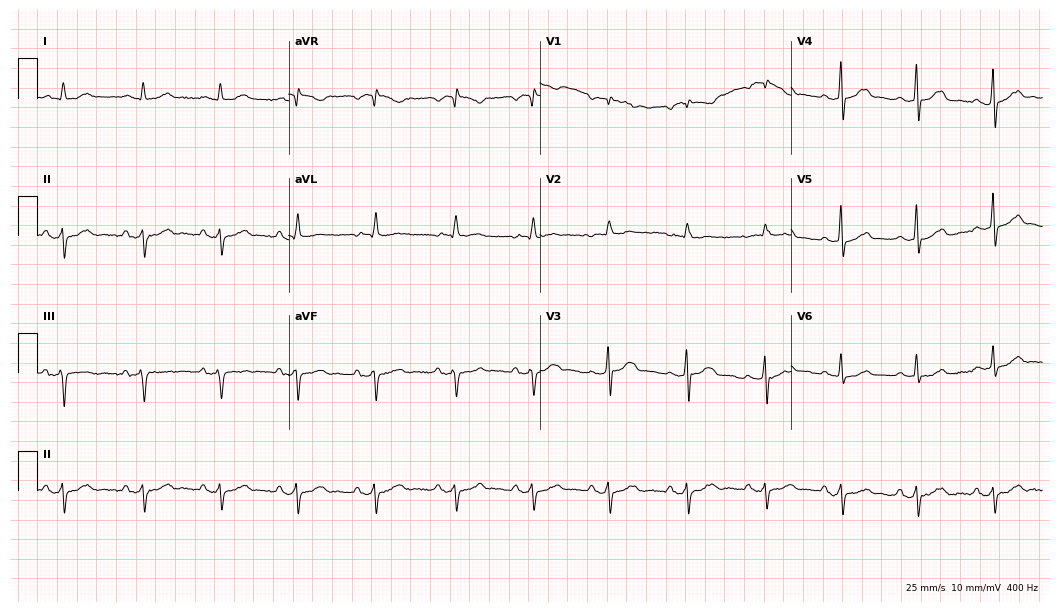
12-lead ECG (10.2-second recording at 400 Hz) from a 68-year-old male patient. Screened for six findings — first-degree AV block, right bundle branch block (RBBB), left bundle branch block (LBBB), sinus bradycardia, atrial fibrillation (AF), sinus tachycardia — none is recorded.